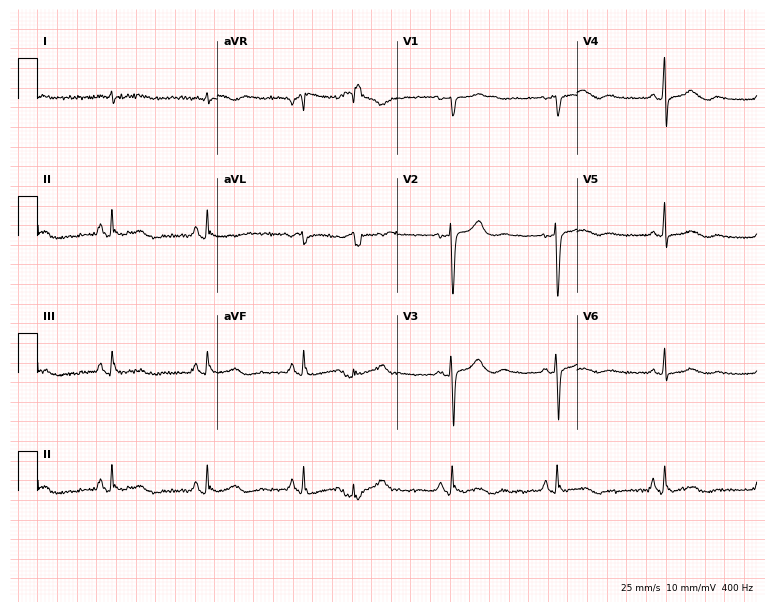
Standard 12-lead ECG recorded from a 76-year-old man. None of these six findings is recorded: first-degree AV block, right bundle branch block (RBBB), left bundle branch block (LBBB), sinus bradycardia, atrial fibrillation (AF), sinus tachycardia.